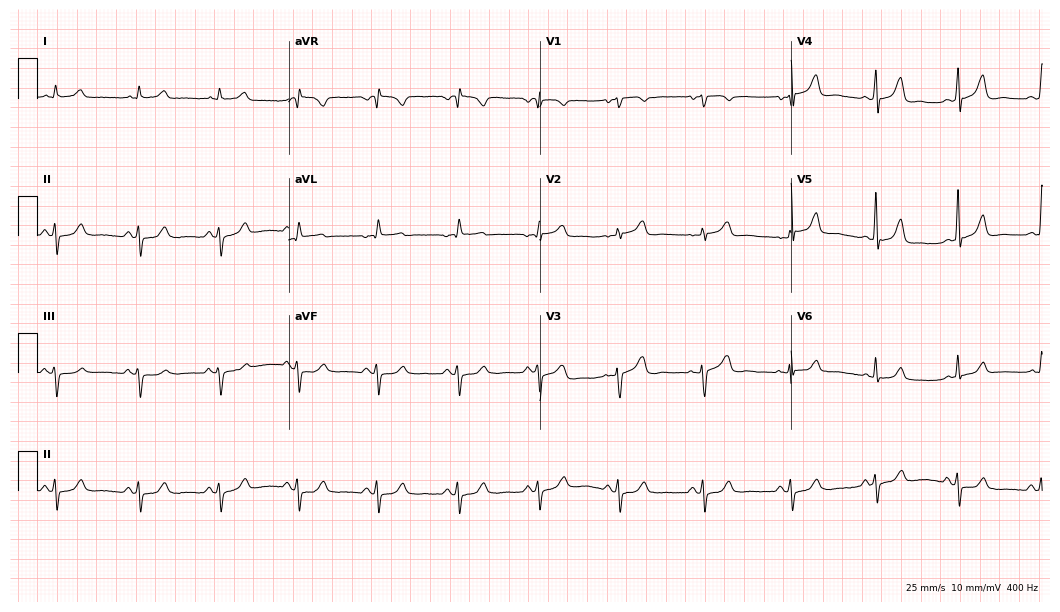
Resting 12-lead electrocardiogram. Patient: a woman, 48 years old. None of these six findings is recorded: first-degree AV block, right bundle branch block, left bundle branch block, sinus bradycardia, atrial fibrillation, sinus tachycardia. Findings outside these six are not listed.